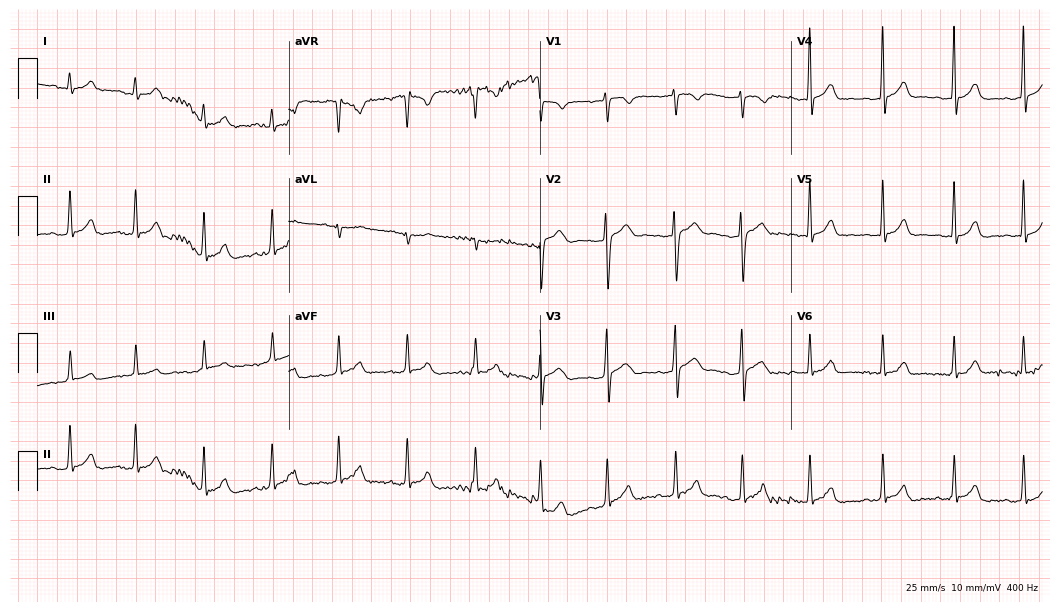
Electrocardiogram (10.2-second recording at 400 Hz), a 20-year-old male patient. Overall reading on record: normal ECG.